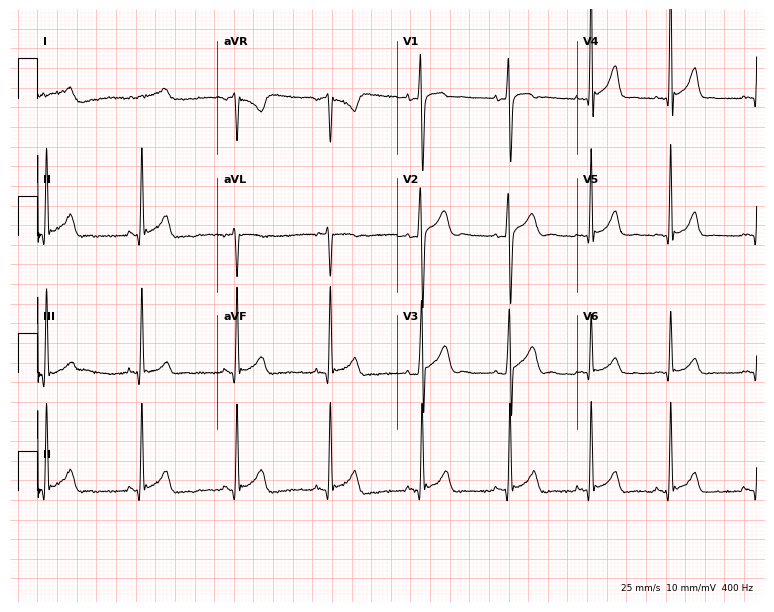
ECG (7.3-second recording at 400 Hz) — an 18-year-old male patient. Screened for six findings — first-degree AV block, right bundle branch block, left bundle branch block, sinus bradycardia, atrial fibrillation, sinus tachycardia — none is recorded. Findings outside these six are not listed.